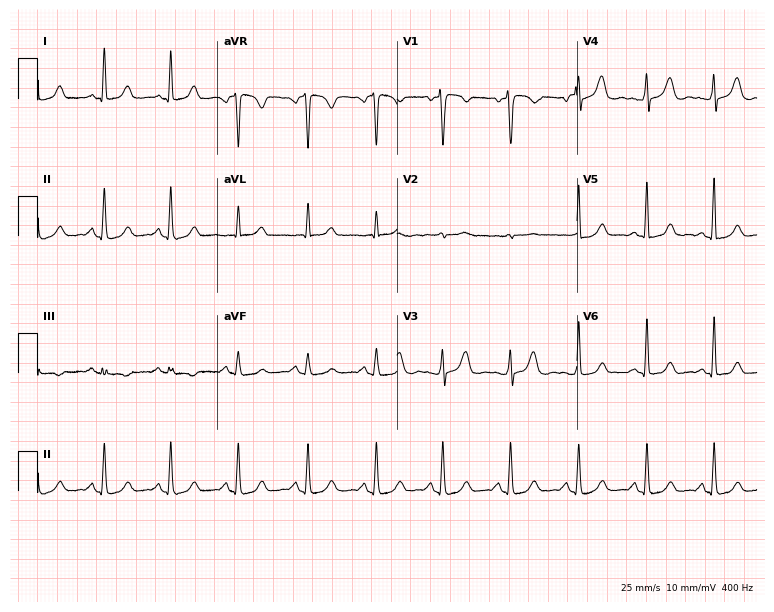
12-lead ECG from a 48-year-old female (7.3-second recording at 400 Hz). No first-degree AV block, right bundle branch block, left bundle branch block, sinus bradycardia, atrial fibrillation or sinus tachycardia recorded for this tracing. Only these six findings were labelled.